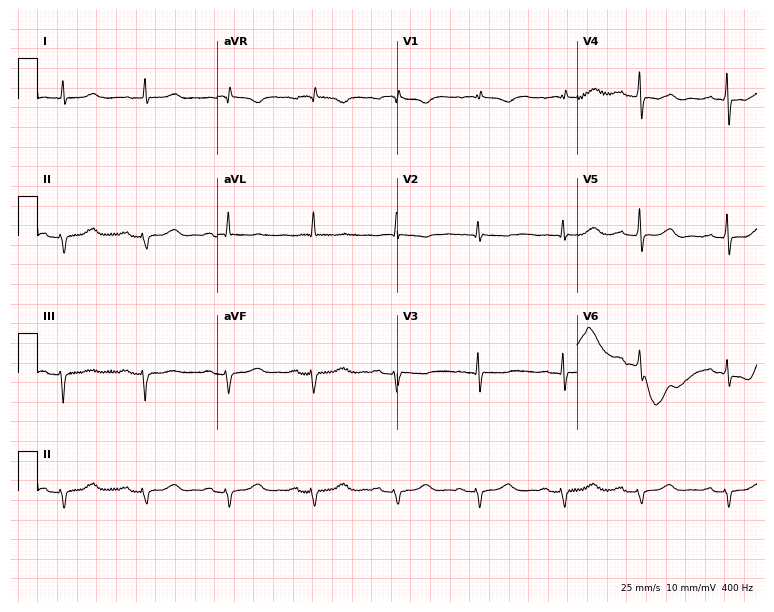
Electrocardiogram, an 84-year-old woman. Interpretation includes first-degree AV block.